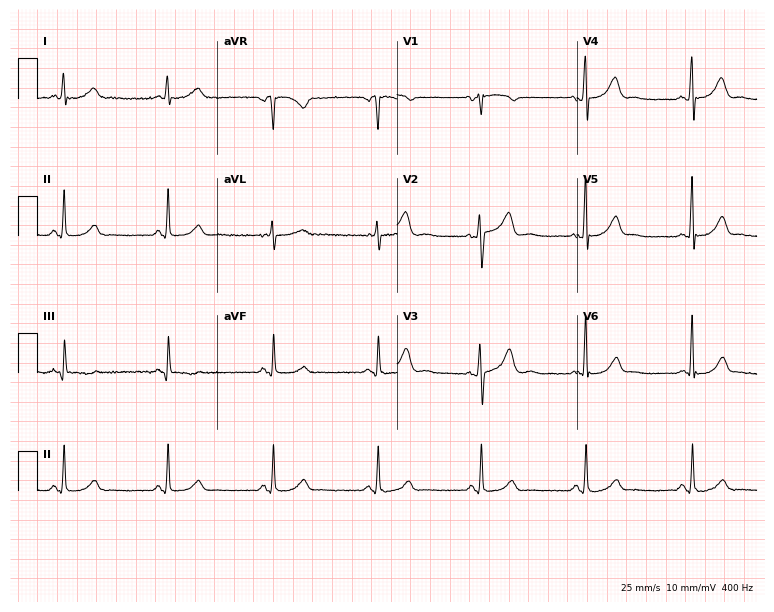
Electrocardiogram (7.3-second recording at 400 Hz), a 54-year-old male patient. Overall reading on record: normal ECG.